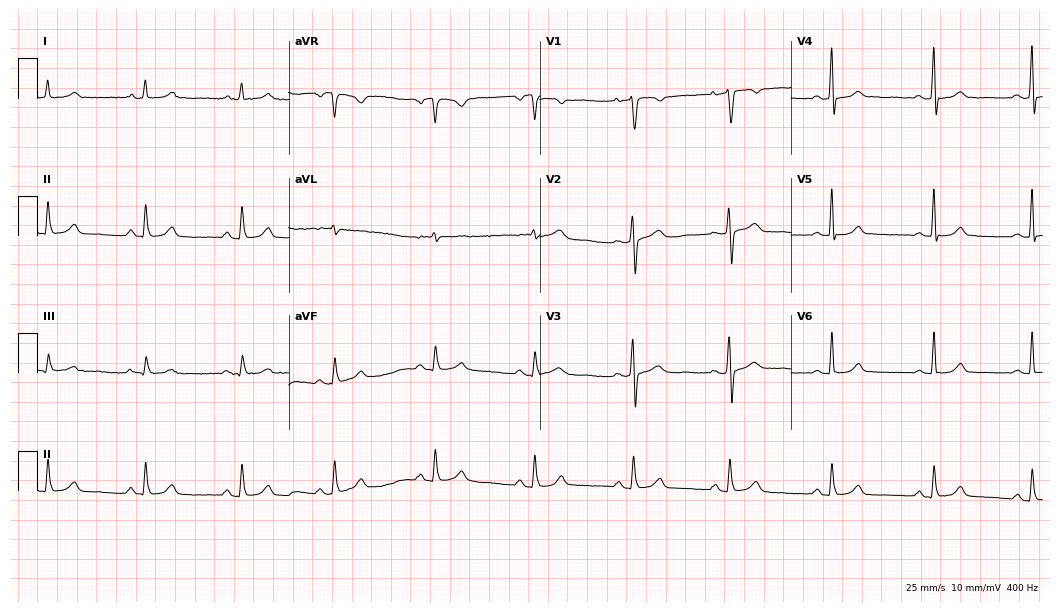
Resting 12-lead electrocardiogram (10.2-second recording at 400 Hz). Patient: a female, 30 years old. Read as a normal ECG.